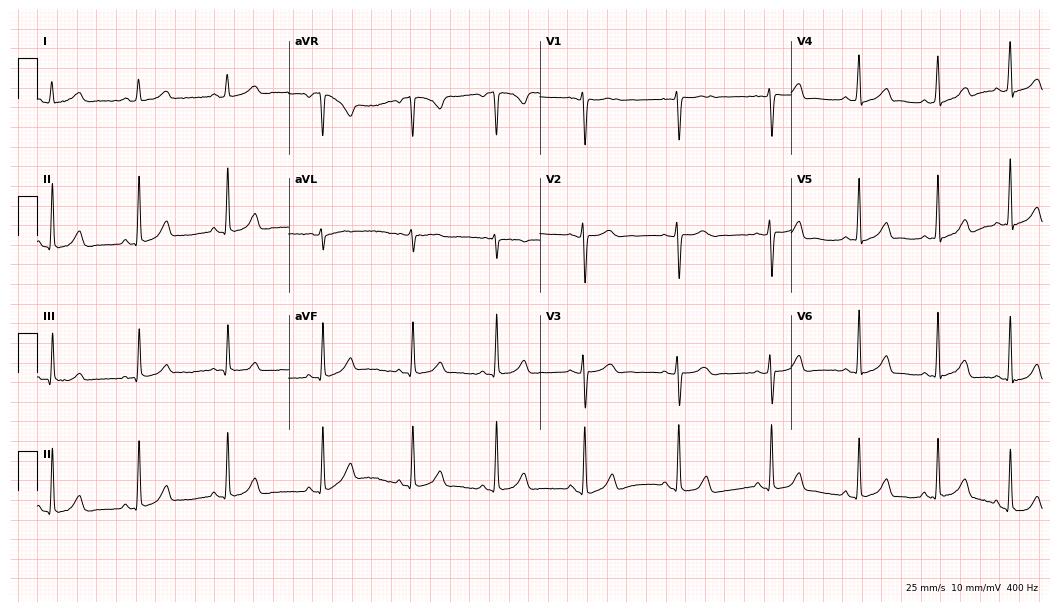
12-lead ECG (10.2-second recording at 400 Hz) from a female patient, 24 years old. Labelled as a normal ECG.